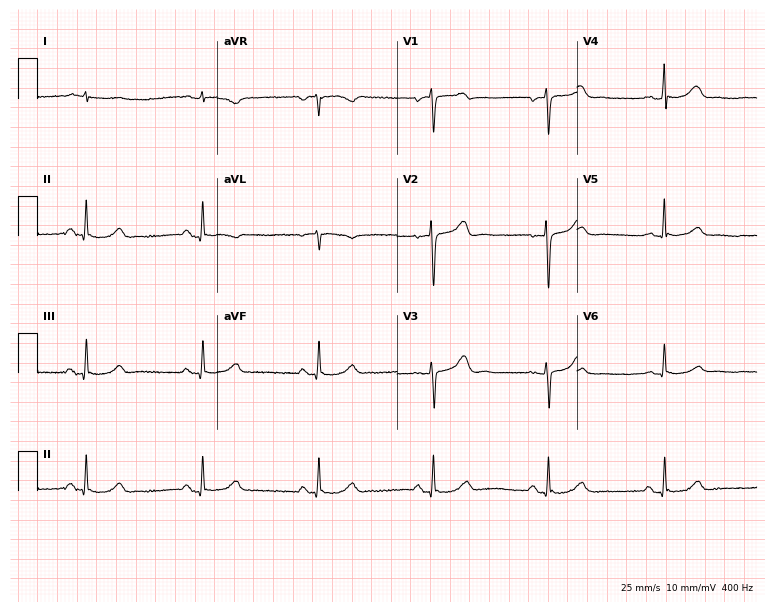
Standard 12-lead ECG recorded from a male patient, 57 years old. The tracing shows sinus bradycardia (a sinus rate of 50 beats per minute or less).